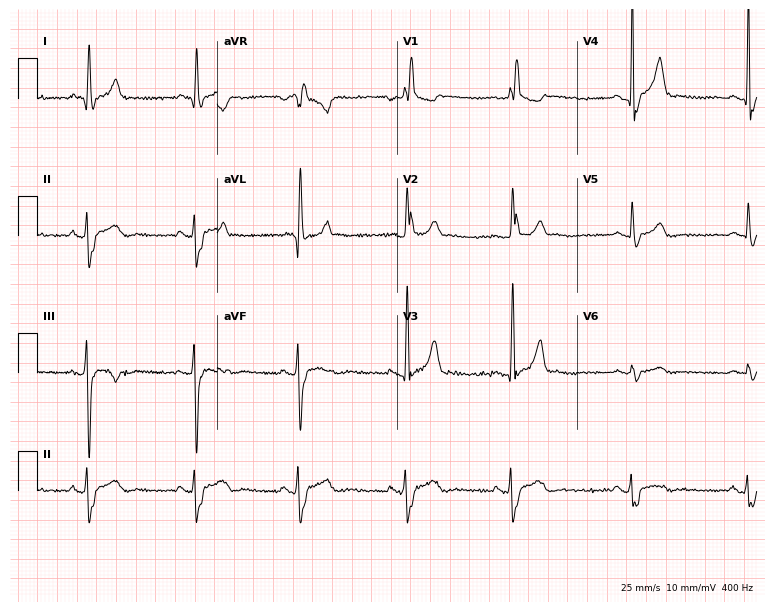
Standard 12-lead ECG recorded from a man, 56 years old (7.3-second recording at 400 Hz). The tracing shows right bundle branch block.